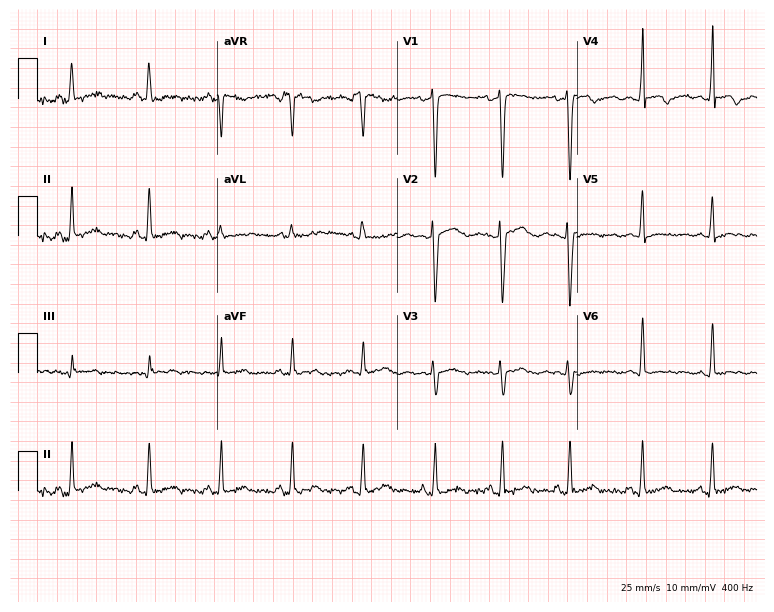
12-lead ECG from a woman, 29 years old. No first-degree AV block, right bundle branch block (RBBB), left bundle branch block (LBBB), sinus bradycardia, atrial fibrillation (AF) or sinus tachycardia recorded for this tracing. Findings outside these six are not listed.